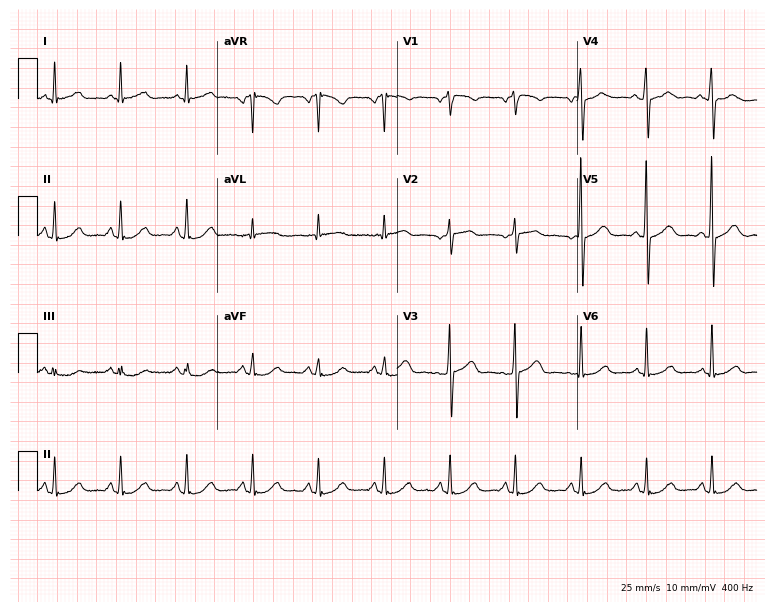
Resting 12-lead electrocardiogram (7.3-second recording at 400 Hz). Patient: a 66-year-old female. Read as a normal ECG.